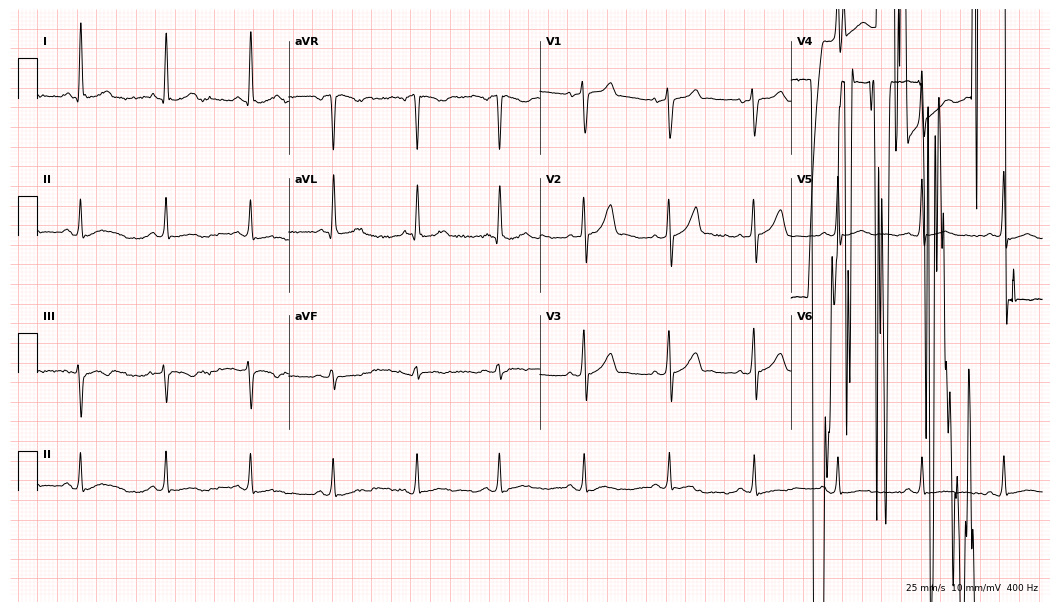
ECG (10.2-second recording at 400 Hz) — a 53-year-old male patient. Screened for six findings — first-degree AV block, right bundle branch block, left bundle branch block, sinus bradycardia, atrial fibrillation, sinus tachycardia — none is recorded. Findings outside these six are not listed.